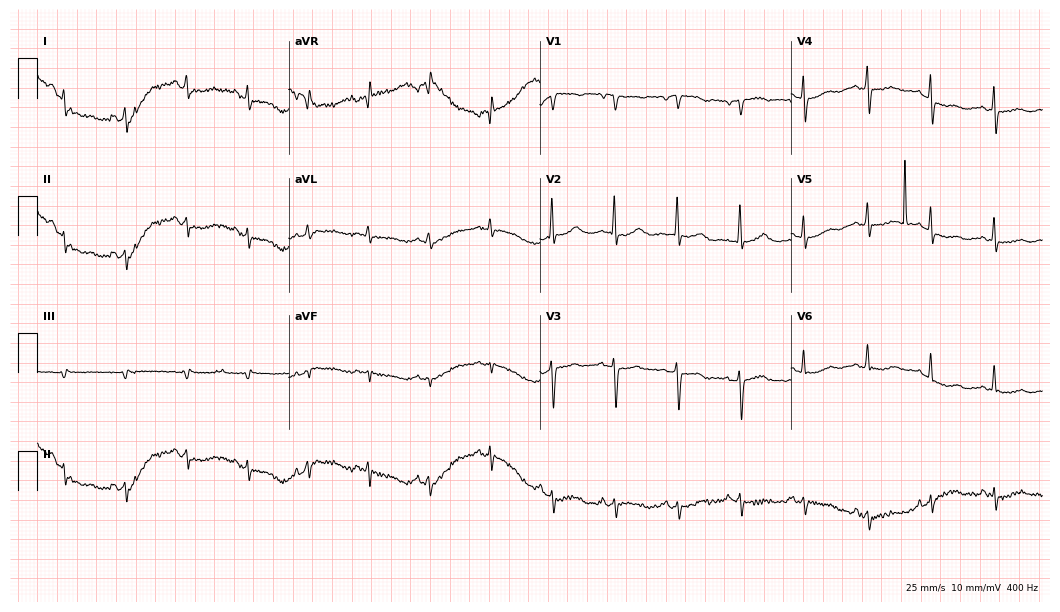
12-lead ECG from a 78-year-old female patient (10.2-second recording at 400 Hz). No first-degree AV block, right bundle branch block, left bundle branch block, sinus bradycardia, atrial fibrillation or sinus tachycardia recorded for this tracing.